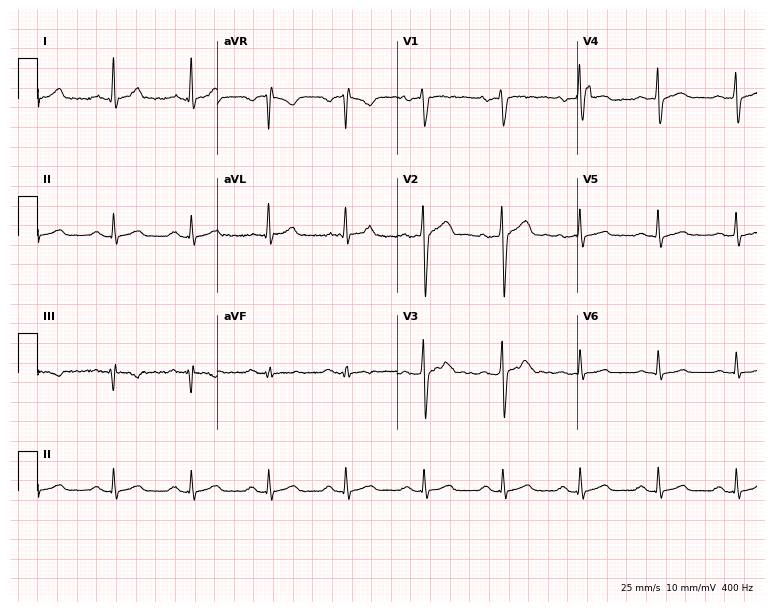
Resting 12-lead electrocardiogram (7.3-second recording at 400 Hz). Patient: a male, 47 years old. Read as a normal ECG.